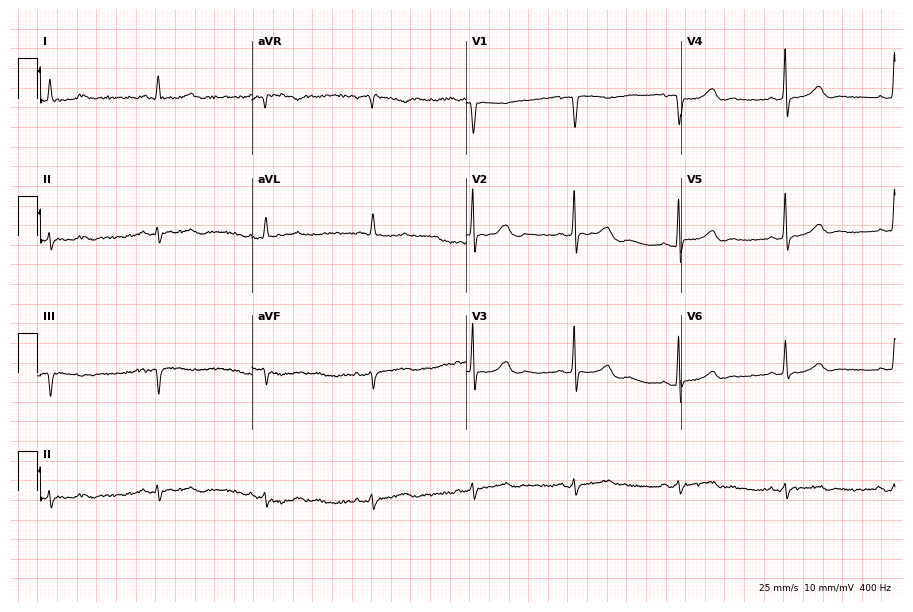
Electrocardiogram, a female, 83 years old. Of the six screened findings (first-degree AV block, right bundle branch block (RBBB), left bundle branch block (LBBB), sinus bradycardia, atrial fibrillation (AF), sinus tachycardia), none is recorded. Findings outside these six are not listed.